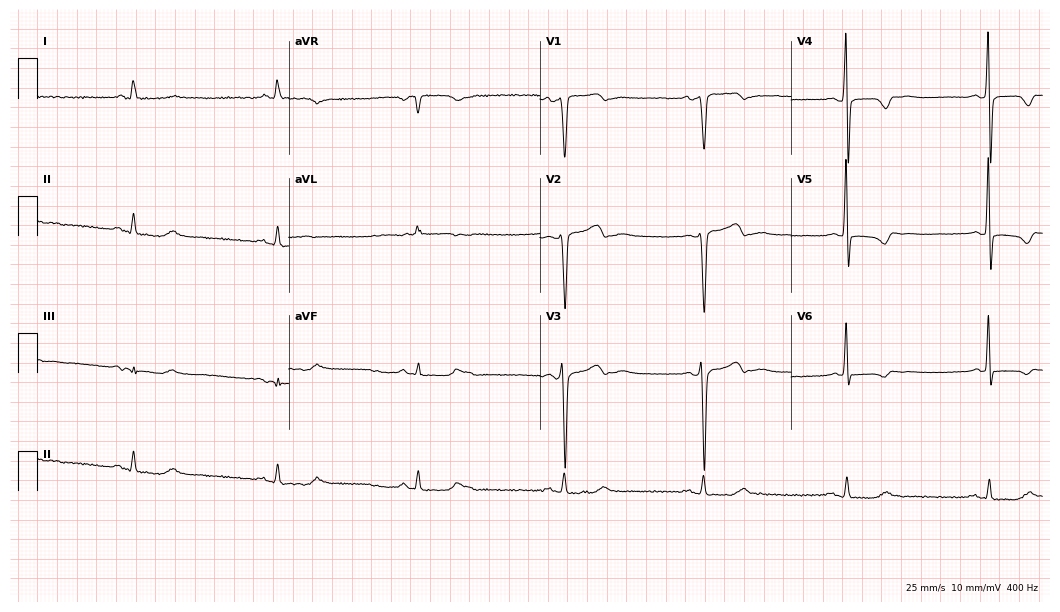
ECG — a 64-year-old man. Screened for six findings — first-degree AV block, right bundle branch block, left bundle branch block, sinus bradycardia, atrial fibrillation, sinus tachycardia — none is recorded. Findings outside these six are not listed.